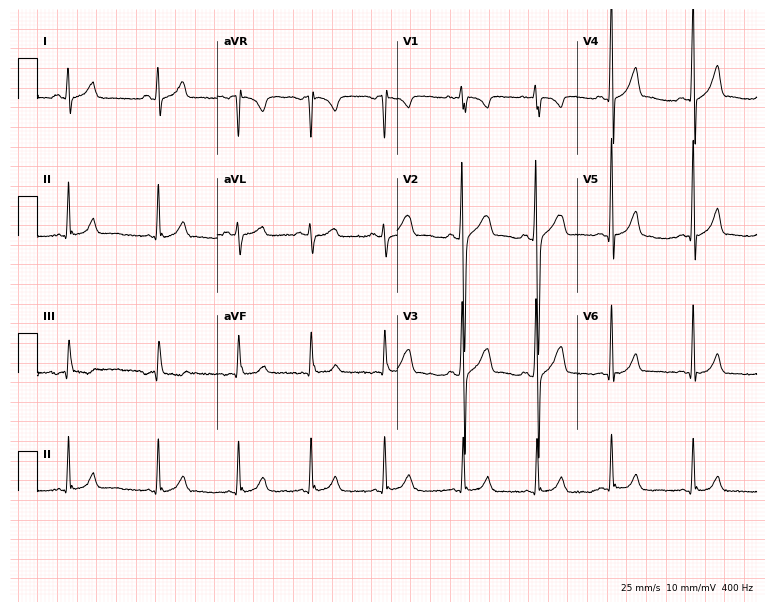
12-lead ECG from a male patient, 17 years old. No first-degree AV block, right bundle branch block, left bundle branch block, sinus bradycardia, atrial fibrillation or sinus tachycardia recorded for this tracing. Other findings, if any, are not listed.